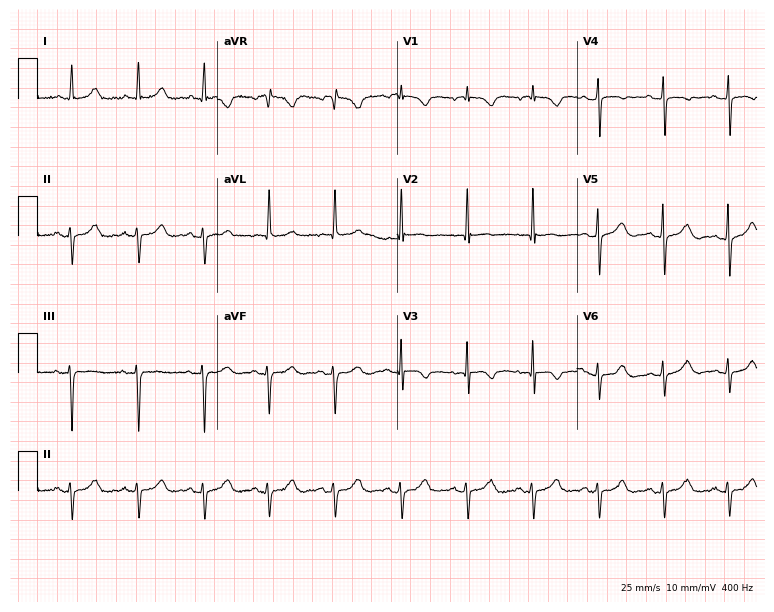
Electrocardiogram (7.3-second recording at 400 Hz), a woman, 83 years old. Of the six screened findings (first-degree AV block, right bundle branch block, left bundle branch block, sinus bradycardia, atrial fibrillation, sinus tachycardia), none is recorded. Only these six findings were labelled.